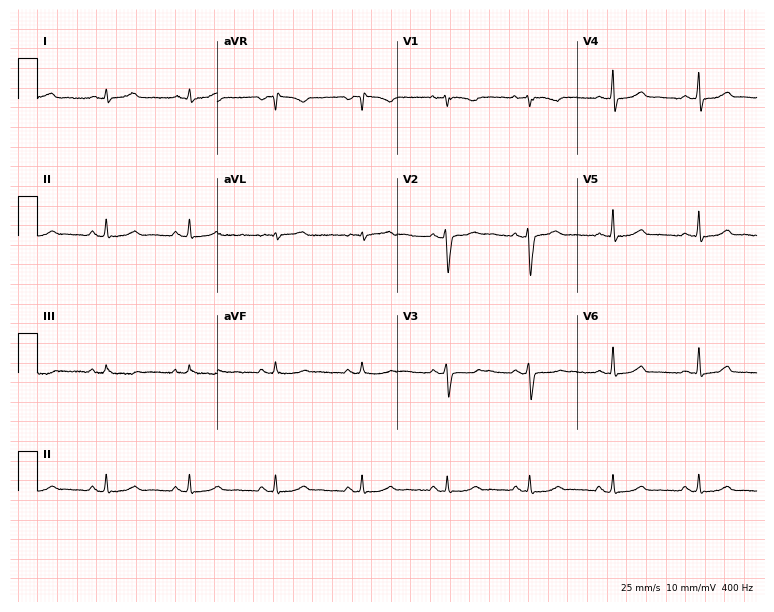
Standard 12-lead ECG recorded from a 49-year-old woman (7.3-second recording at 400 Hz). Read as a normal ECG.